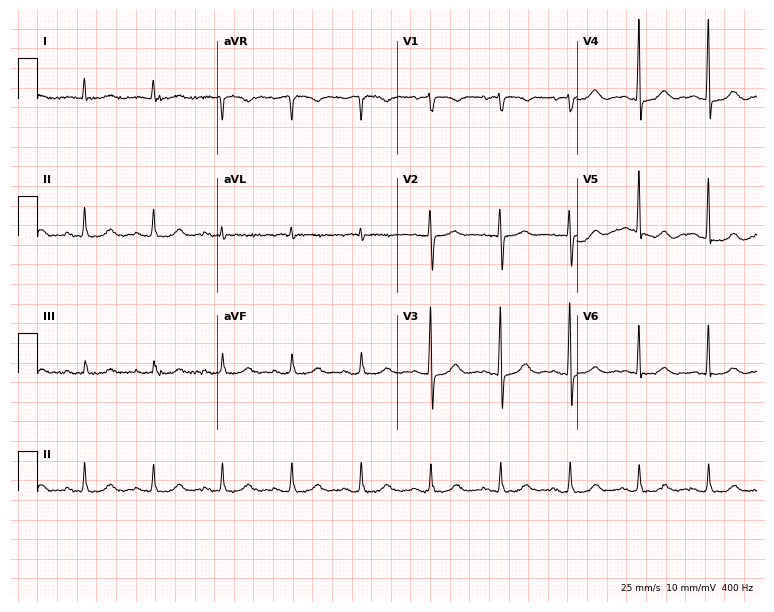
12-lead ECG from a female, 73 years old. Labelled as a normal ECG.